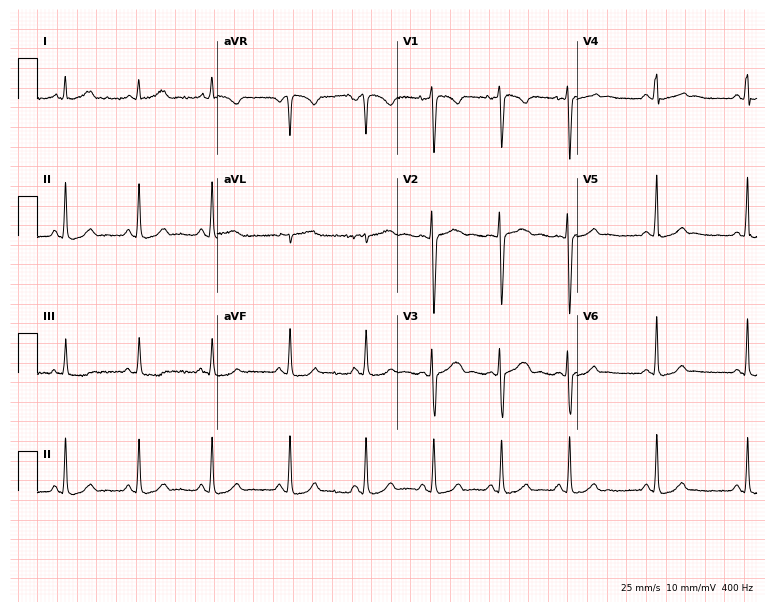
Standard 12-lead ECG recorded from a female patient, 25 years old (7.3-second recording at 400 Hz). Read as a normal ECG.